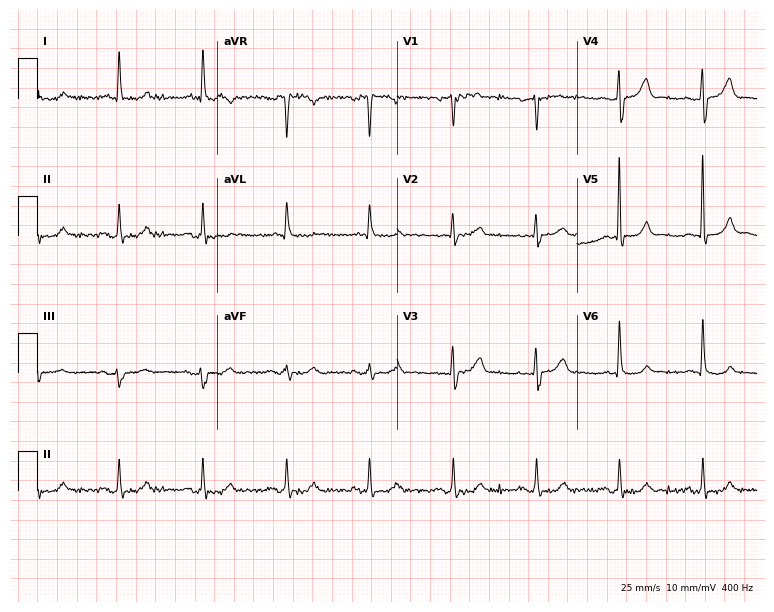
Resting 12-lead electrocardiogram (7.3-second recording at 400 Hz). Patient: a female, 75 years old. None of these six findings is recorded: first-degree AV block, right bundle branch block (RBBB), left bundle branch block (LBBB), sinus bradycardia, atrial fibrillation (AF), sinus tachycardia. Other findings, if any, are not listed.